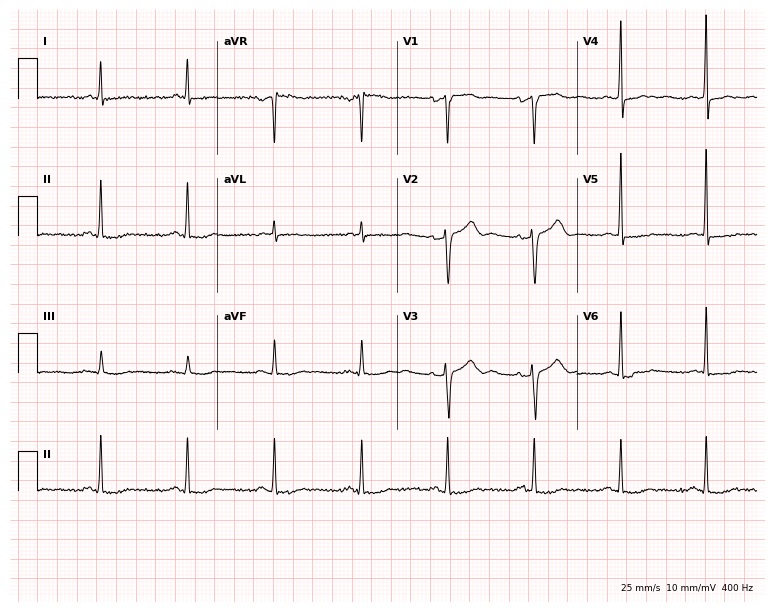
Resting 12-lead electrocardiogram (7.3-second recording at 400 Hz). Patient: a 64-year-old female. None of these six findings is recorded: first-degree AV block, right bundle branch block, left bundle branch block, sinus bradycardia, atrial fibrillation, sinus tachycardia.